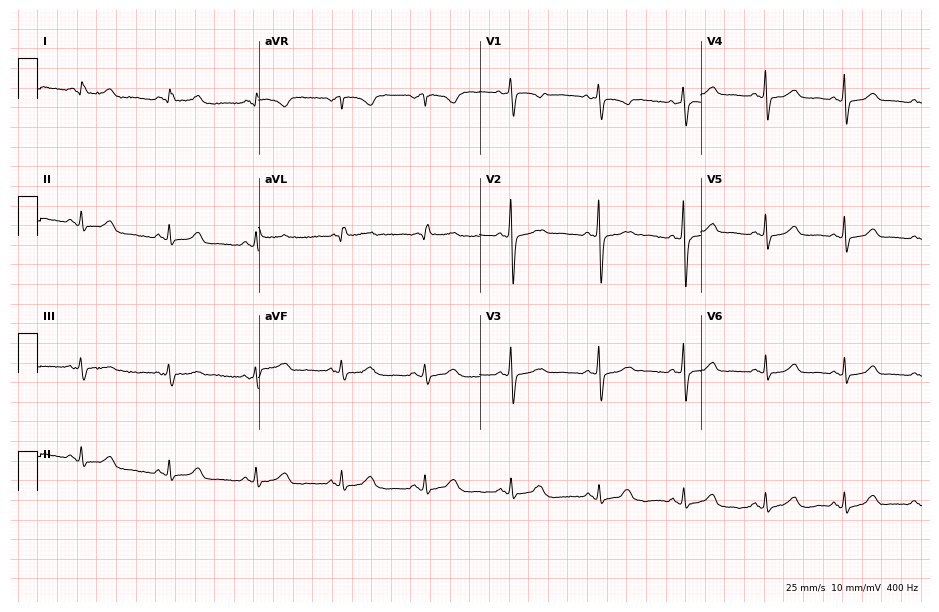
Resting 12-lead electrocardiogram. Patient: a female, 65 years old. Read as a normal ECG.